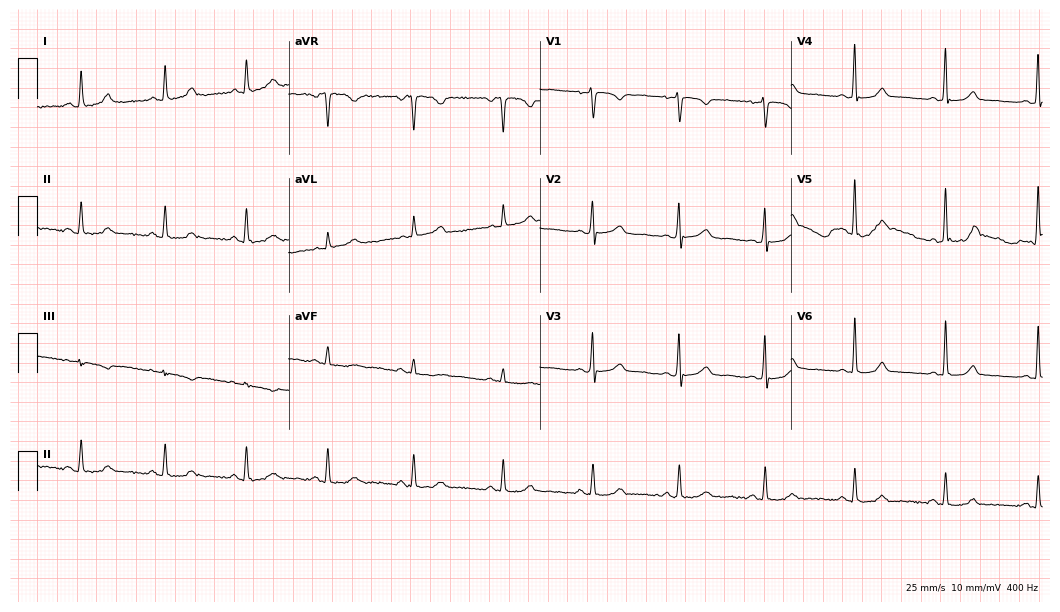
Resting 12-lead electrocardiogram. Patient: a female, 49 years old. Read as a normal ECG.